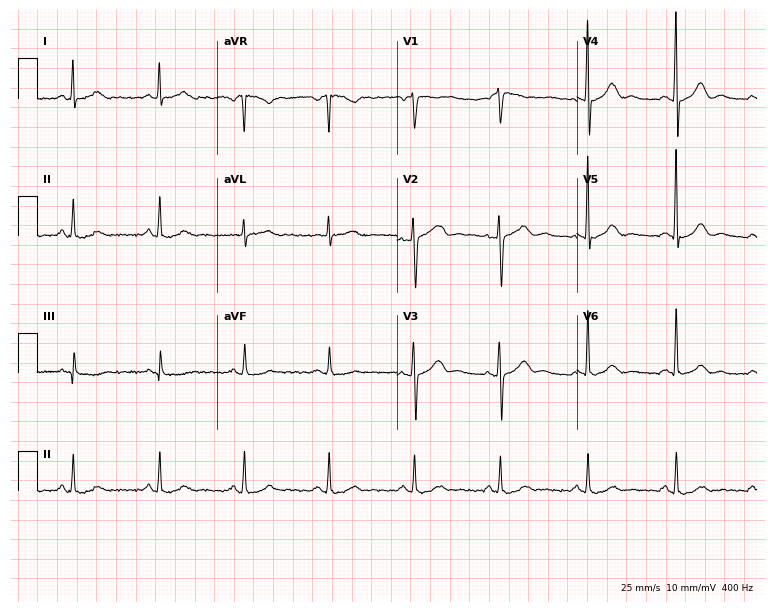
Standard 12-lead ECG recorded from a female patient, 51 years old. None of these six findings is recorded: first-degree AV block, right bundle branch block (RBBB), left bundle branch block (LBBB), sinus bradycardia, atrial fibrillation (AF), sinus tachycardia.